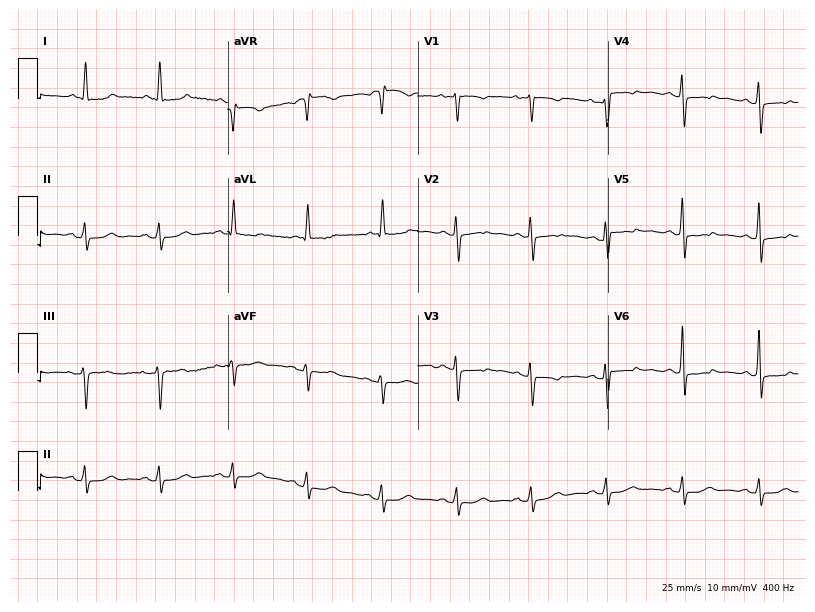
12-lead ECG from a female patient, 67 years old (7.8-second recording at 400 Hz). No first-degree AV block, right bundle branch block (RBBB), left bundle branch block (LBBB), sinus bradycardia, atrial fibrillation (AF) or sinus tachycardia recorded for this tracing. Findings outside these six are not listed.